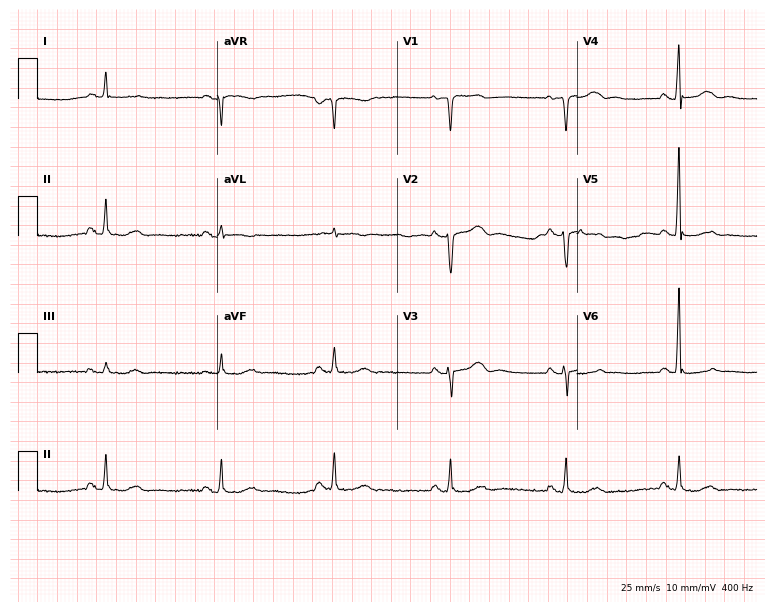
12-lead ECG from a female, 80 years old. No first-degree AV block, right bundle branch block, left bundle branch block, sinus bradycardia, atrial fibrillation or sinus tachycardia recorded for this tracing.